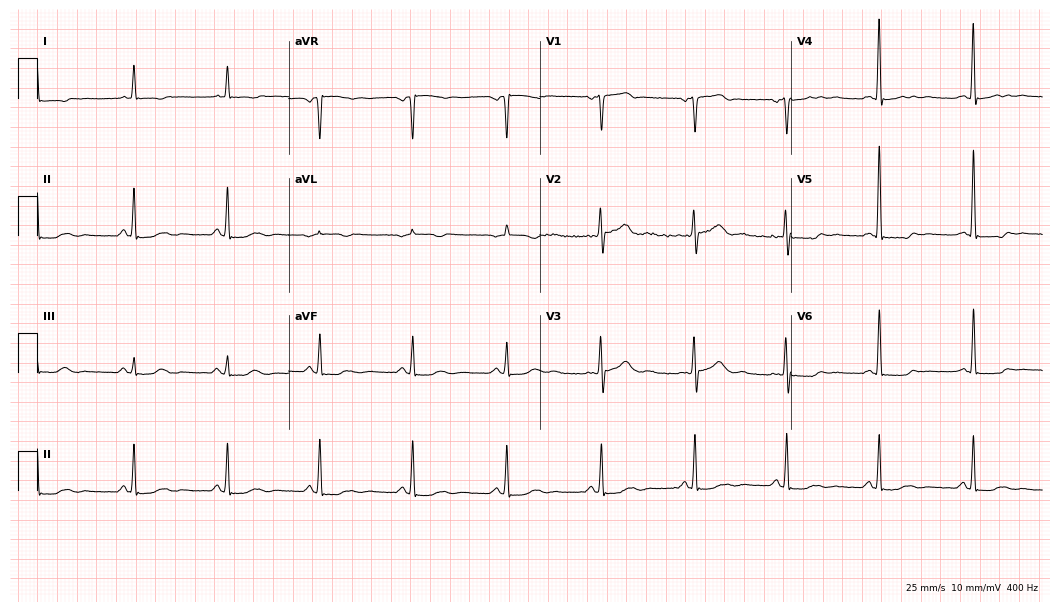
12-lead ECG from a male patient, 66 years old. No first-degree AV block, right bundle branch block (RBBB), left bundle branch block (LBBB), sinus bradycardia, atrial fibrillation (AF) or sinus tachycardia recorded for this tracing. Other findings, if any, are not listed.